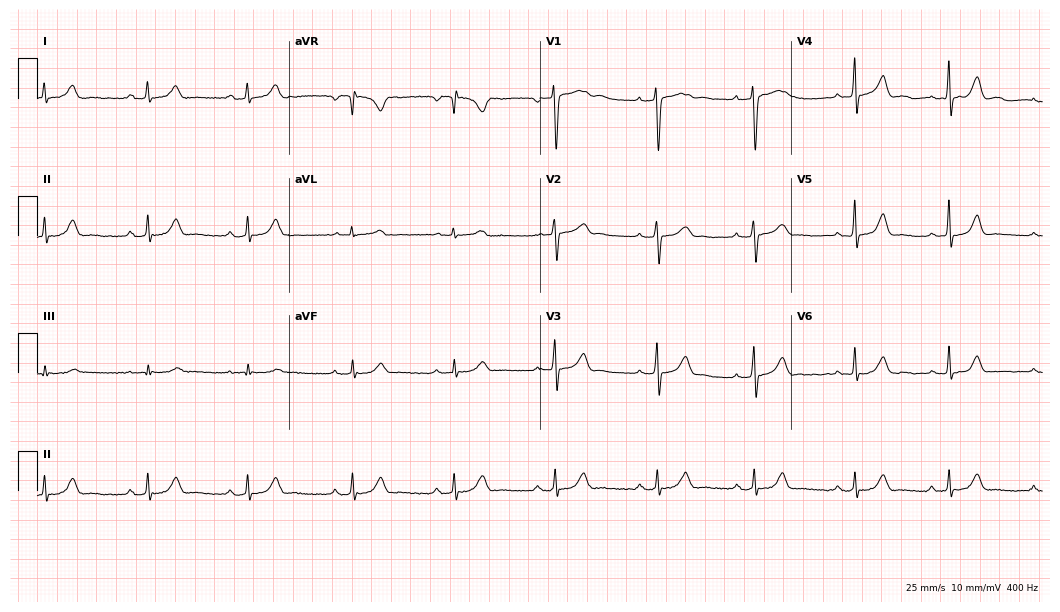
ECG — a 28-year-old female patient. Labelled as a normal ECG.